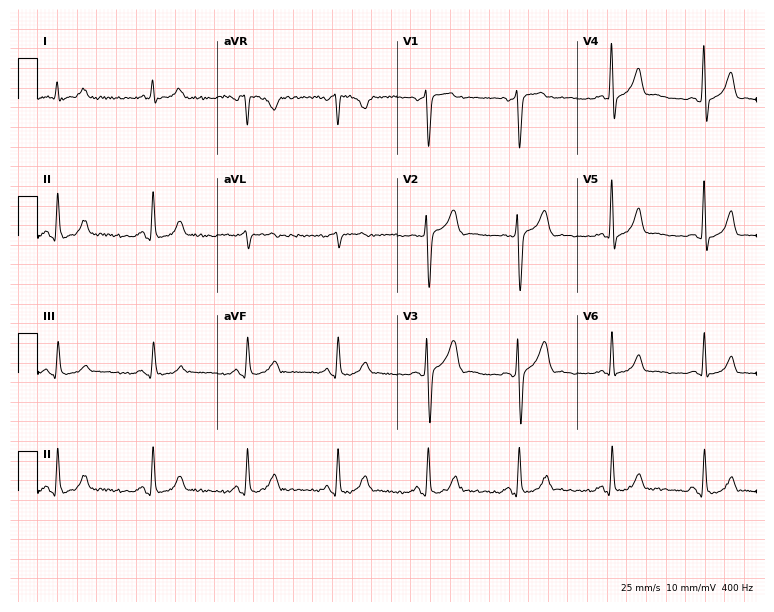
Standard 12-lead ECG recorded from a male patient, 43 years old (7.3-second recording at 400 Hz). None of these six findings is recorded: first-degree AV block, right bundle branch block, left bundle branch block, sinus bradycardia, atrial fibrillation, sinus tachycardia. Only these six findings were labelled.